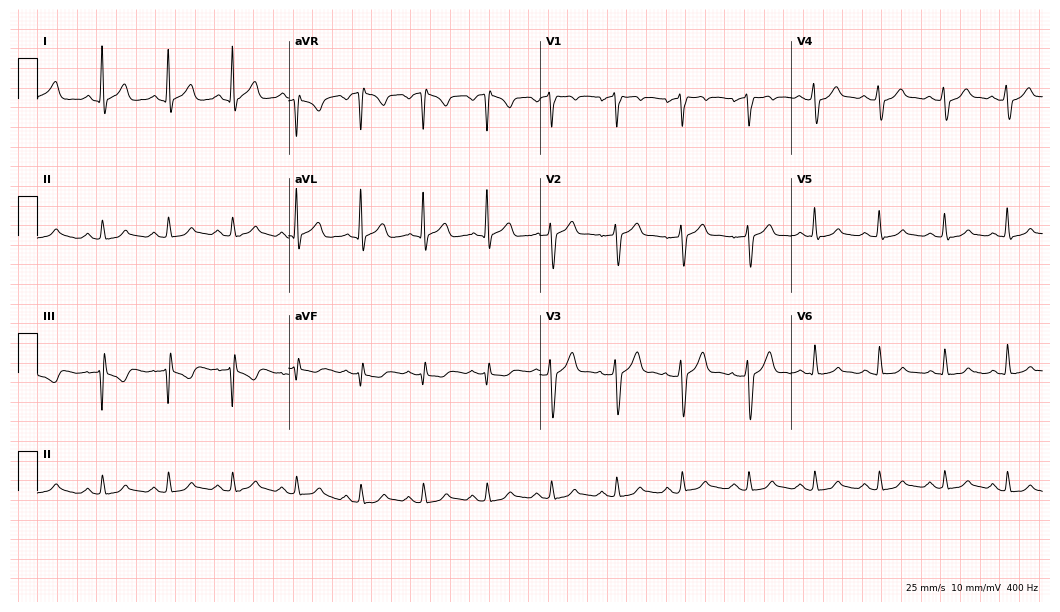
Standard 12-lead ECG recorded from a male patient, 33 years old. Read as a normal ECG.